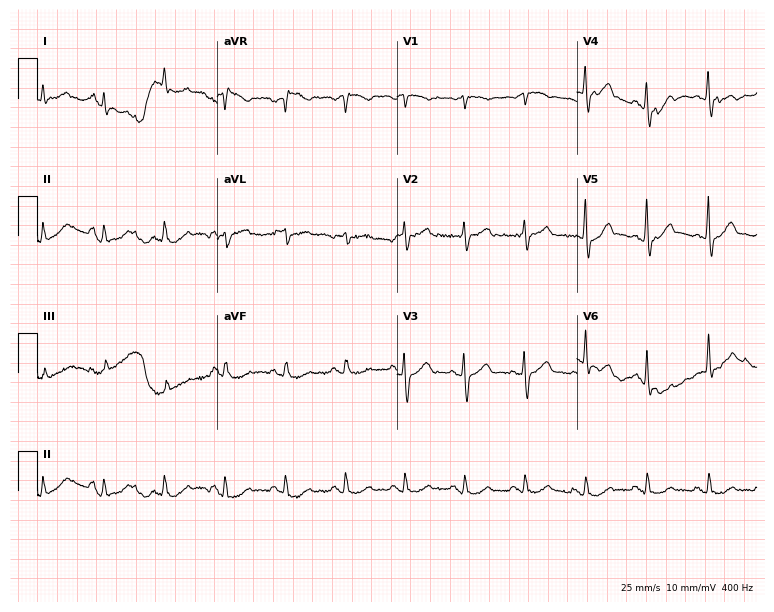
12-lead ECG (7.3-second recording at 400 Hz) from a 65-year-old male patient. Screened for six findings — first-degree AV block, right bundle branch block, left bundle branch block, sinus bradycardia, atrial fibrillation, sinus tachycardia — none is recorded. Other findings, if any, are not listed.